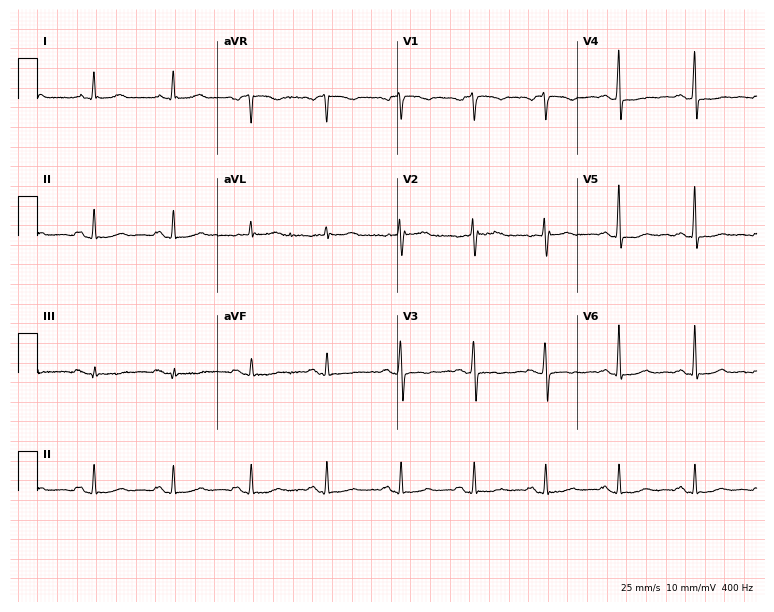
Standard 12-lead ECG recorded from a female, 51 years old (7.3-second recording at 400 Hz). None of these six findings is recorded: first-degree AV block, right bundle branch block (RBBB), left bundle branch block (LBBB), sinus bradycardia, atrial fibrillation (AF), sinus tachycardia. Only these six findings were labelled.